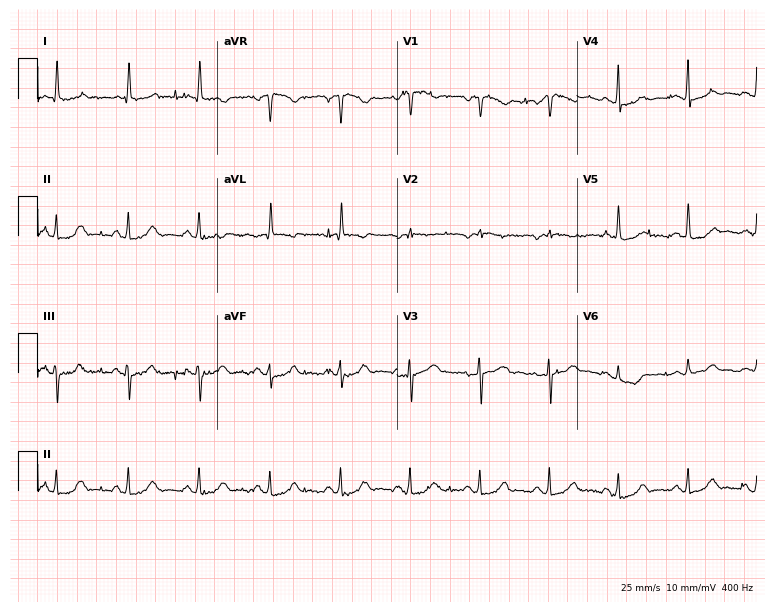
Resting 12-lead electrocardiogram (7.3-second recording at 400 Hz). Patient: a 72-year-old female. Read as a normal ECG.